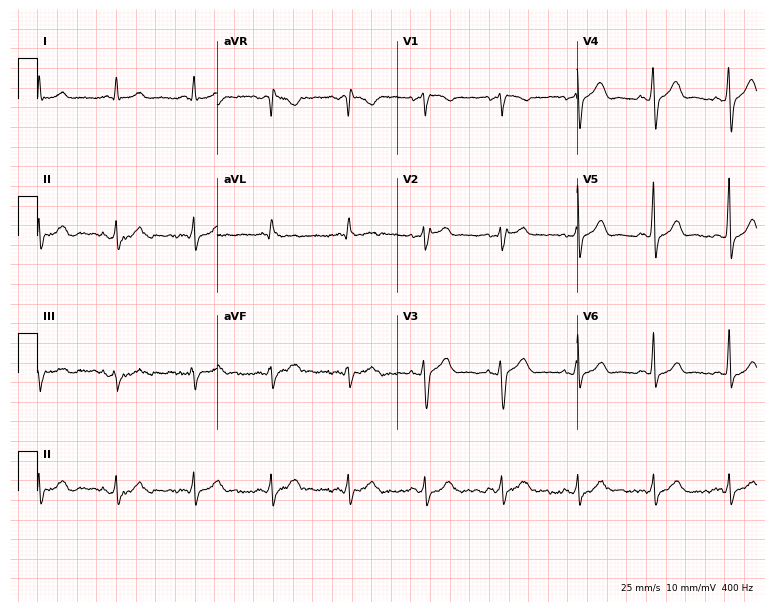
Electrocardiogram, a male patient, 46 years old. Of the six screened findings (first-degree AV block, right bundle branch block, left bundle branch block, sinus bradycardia, atrial fibrillation, sinus tachycardia), none is recorded. Findings outside these six are not listed.